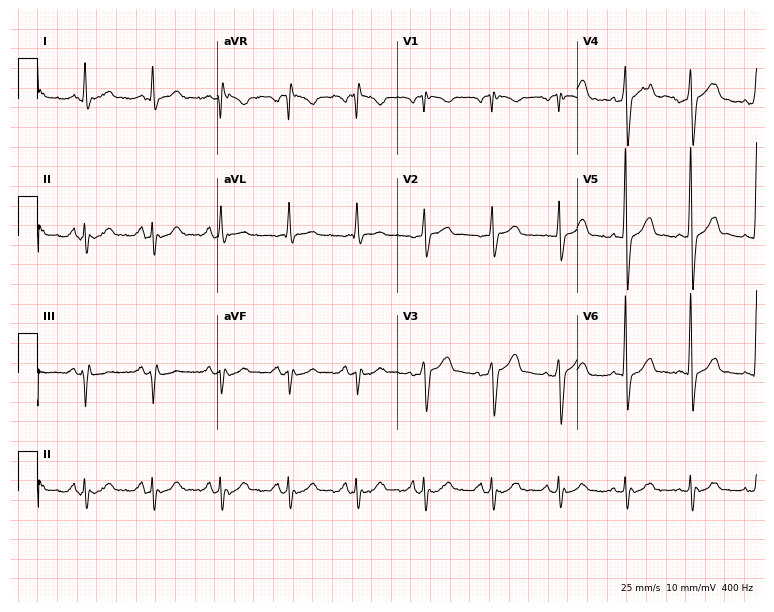
ECG (7.3-second recording at 400 Hz) — a male patient, 53 years old. Screened for six findings — first-degree AV block, right bundle branch block (RBBB), left bundle branch block (LBBB), sinus bradycardia, atrial fibrillation (AF), sinus tachycardia — none is recorded.